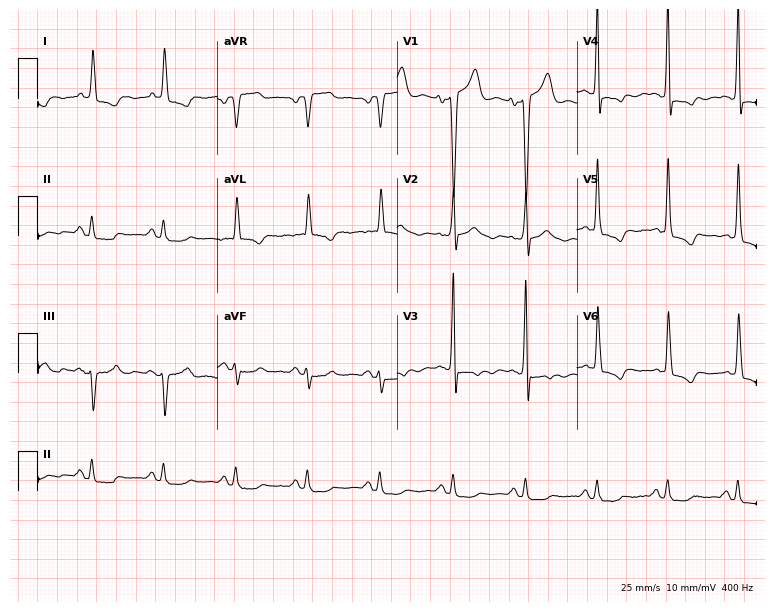
Electrocardiogram, a man, 84 years old. Of the six screened findings (first-degree AV block, right bundle branch block (RBBB), left bundle branch block (LBBB), sinus bradycardia, atrial fibrillation (AF), sinus tachycardia), none is recorded. Other findings, if any, are not listed.